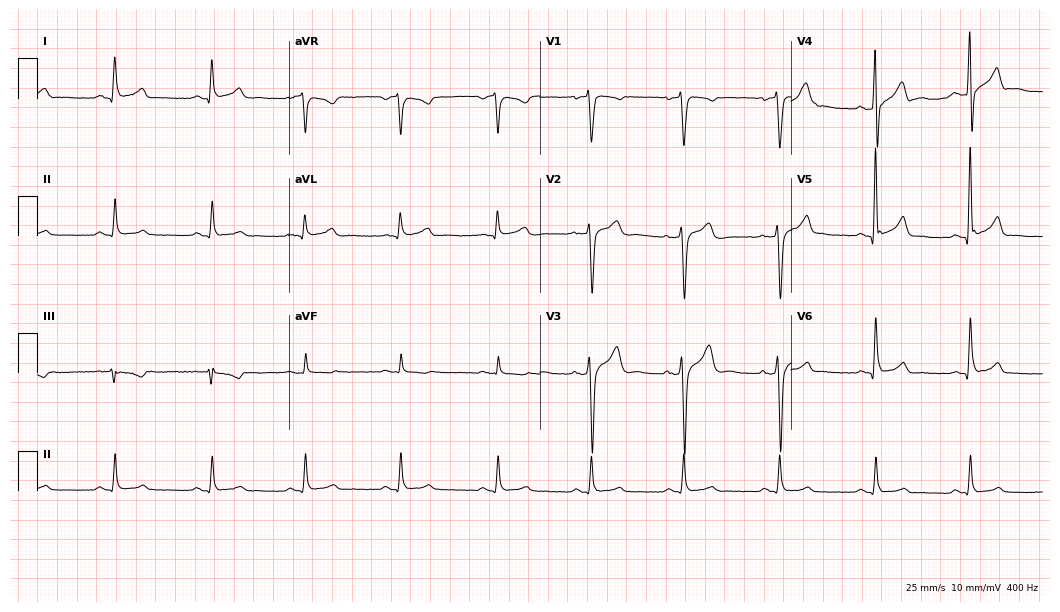
Electrocardiogram, a 35-year-old man. Of the six screened findings (first-degree AV block, right bundle branch block (RBBB), left bundle branch block (LBBB), sinus bradycardia, atrial fibrillation (AF), sinus tachycardia), none is recorded. Only these six findings were labelled.